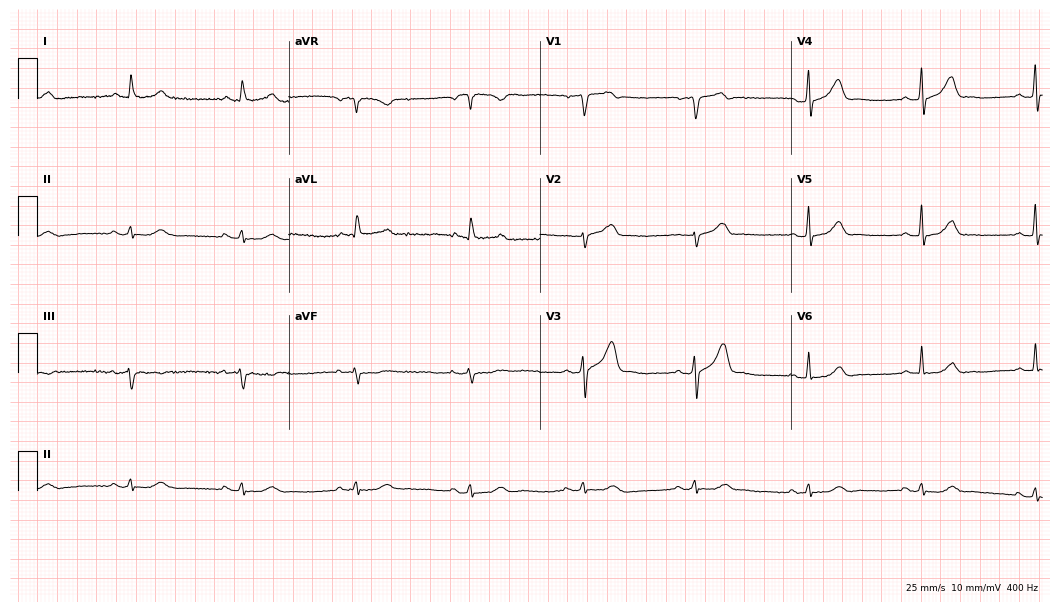
Standard 12-lead ECG recorded from a 65-year-old man (10.2-second recording at 400 Hz). Read as a normal ECG.